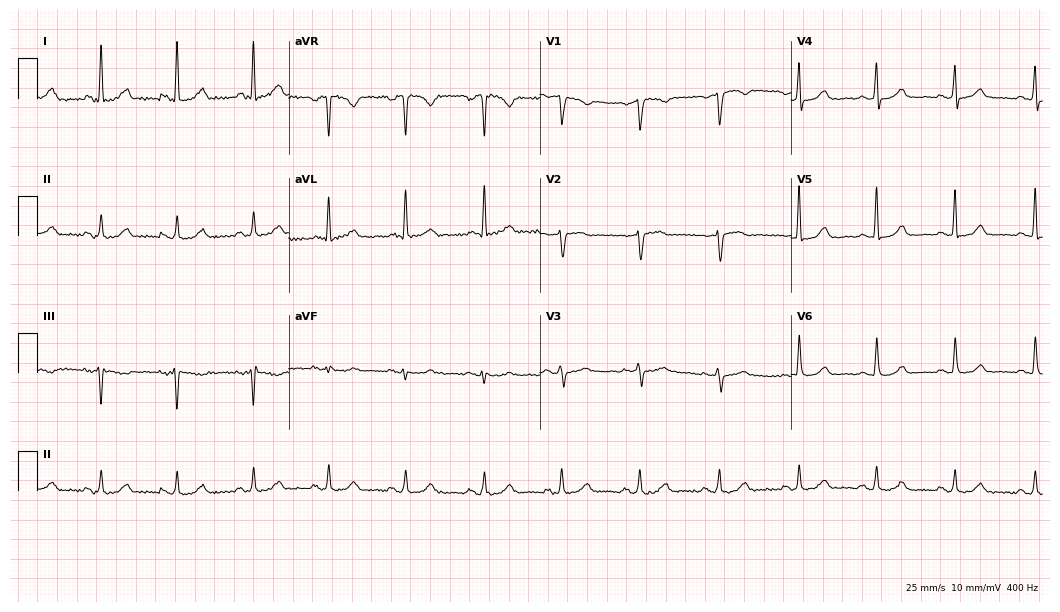
ECG — a 55-year-old female patient. Labelled as a normal ECG.